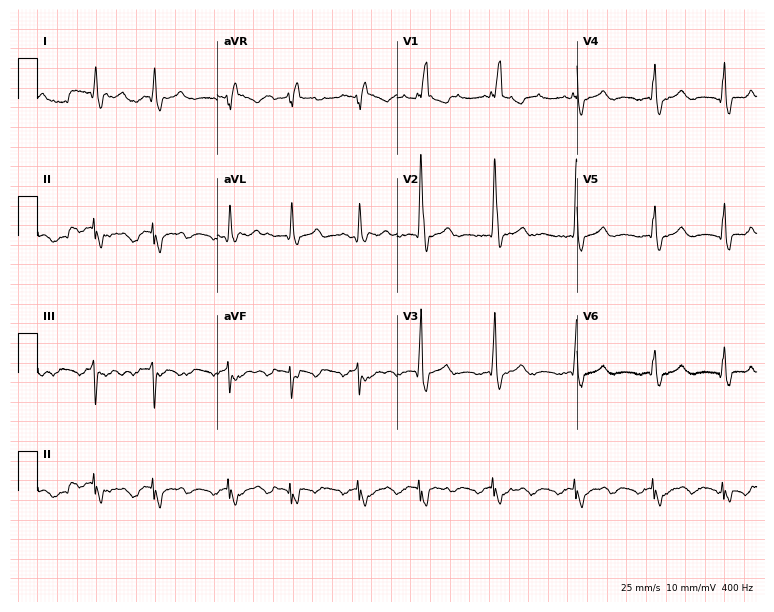
Resting 12-lead electrocardiogram. Patient: an 82-year-old man. The tracing shows right bundle branch block, atrial fibrillation.